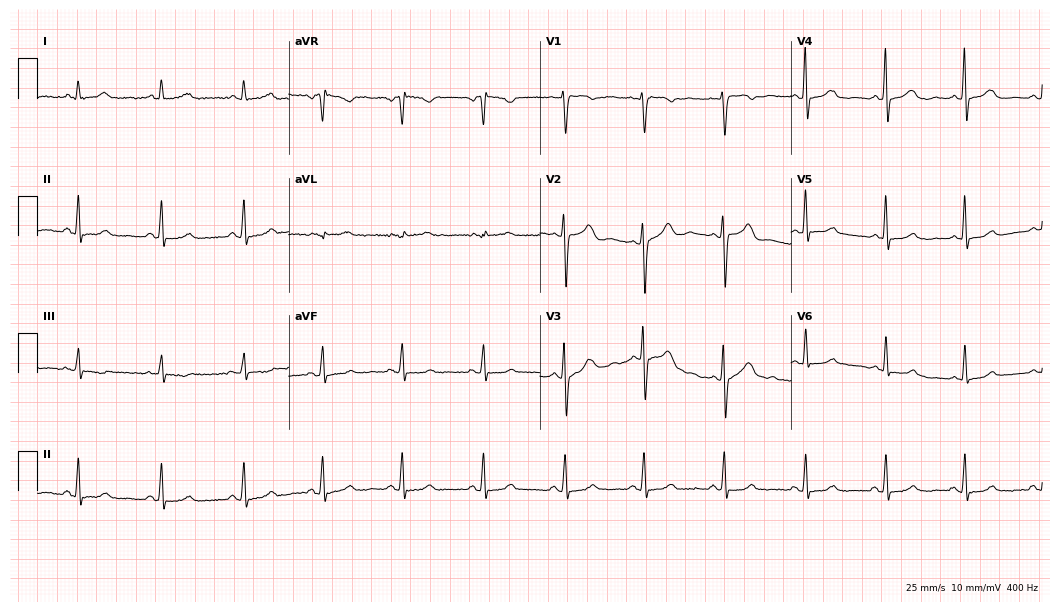
Standard 12-lead ECG recorded from a 45-year-old woman. None of these six findings is recorded: first-degree AV block, right bundle branch block, left bundle branch block, sinus bradycardia, atrial fibrillation, sinus tachycardia. Findings outside these six are not listed.